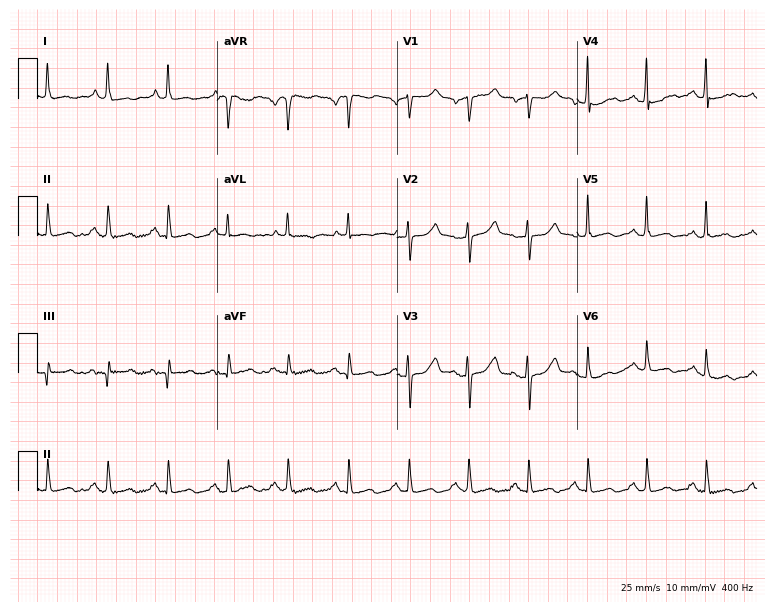
12-lead ECG from a 68-year-old woman (7.3-second recording at 400 Hz). Recorded interpretation: within normal limits.